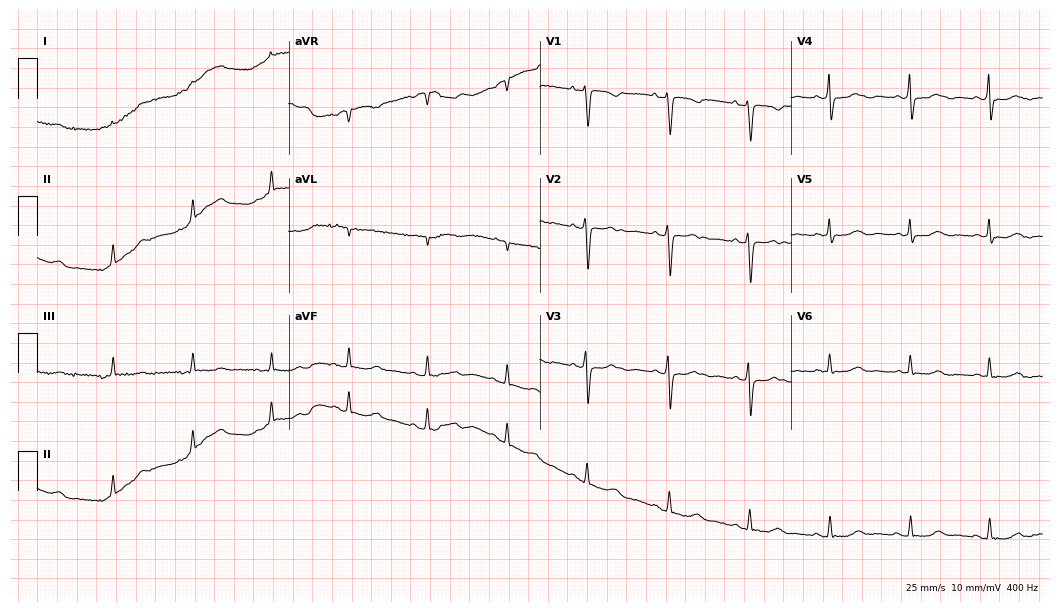
12-lead ECG from a woman, 74 years old. Recorded interpretation: within normal limits.